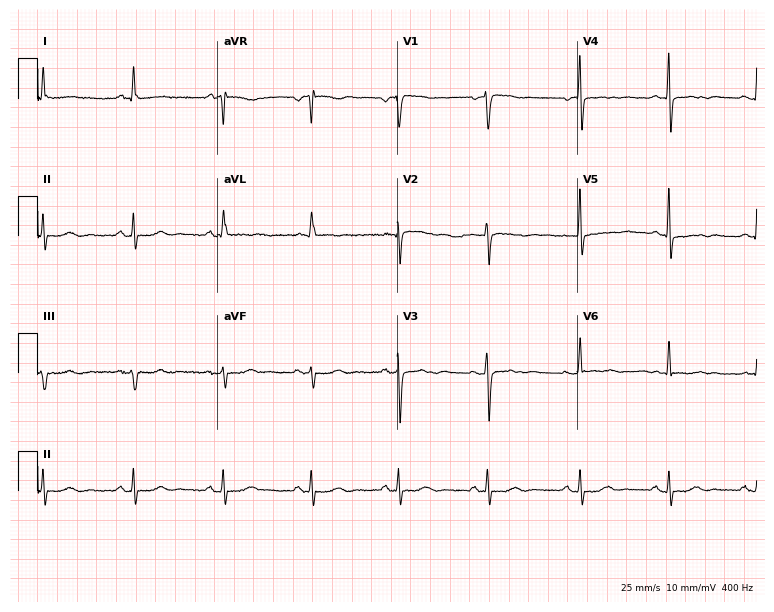
ECG (7.3-second recording at 400 Hz) — a female, 69 years old. Screened for six findings — first-degree AV block, right bundle branch block (RBBB), left bundle branch block (LBBB), sinus bradycardia, atrial fibrillation (AF), sinus tachycardia — none is recorded. Other findings, if any, are not listed.